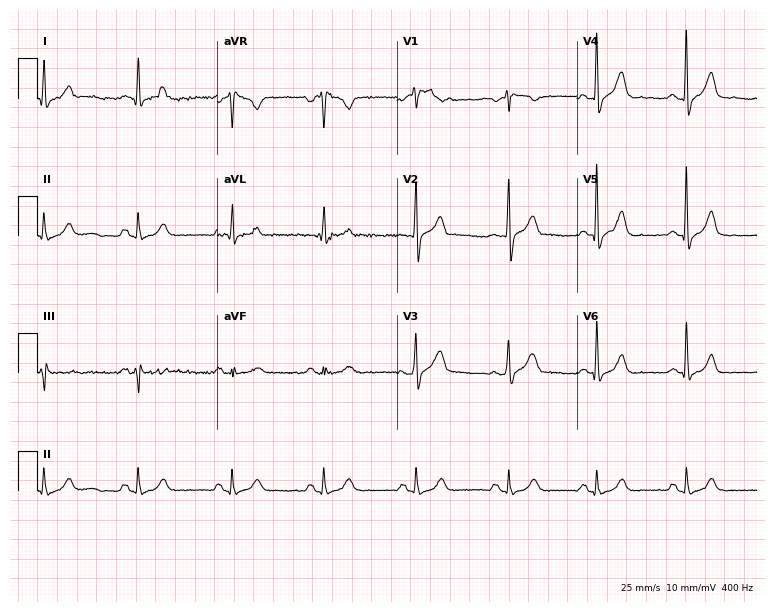
12-lead ECG from a 60-year-old male patient. No first-degree AV block, right bundle branch block (RBBB), left bundle branch block (LBBB), sinus bradycardia, atrial fibrillation (AF) or sinus tachycardia recorded for this tracing. Other findings, if any, are not listed.